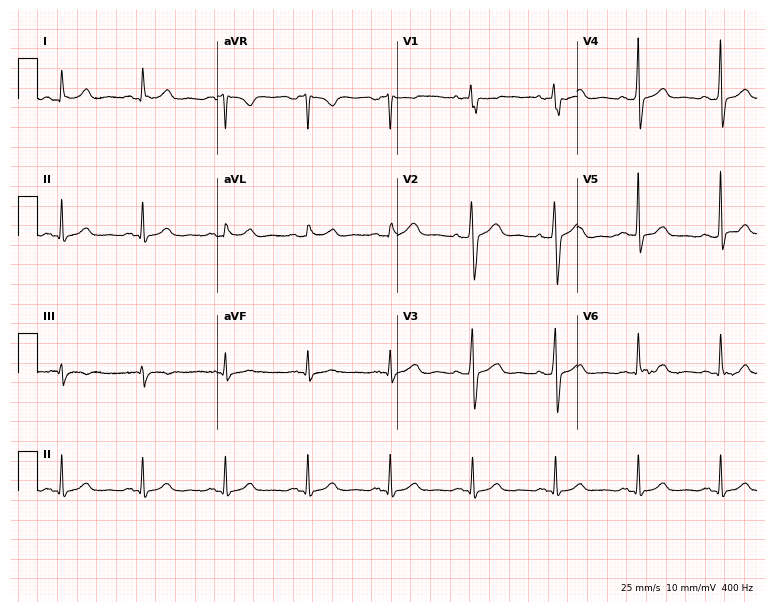
12-lead ECG from a man, 63 years old. No first-degree AV block, right bundle branch block (RBBB), left bundle branch block (LBBB), sinus bradycardia, atrial fibrillation (AF) or sinus tachycardia recorded for this tracing.